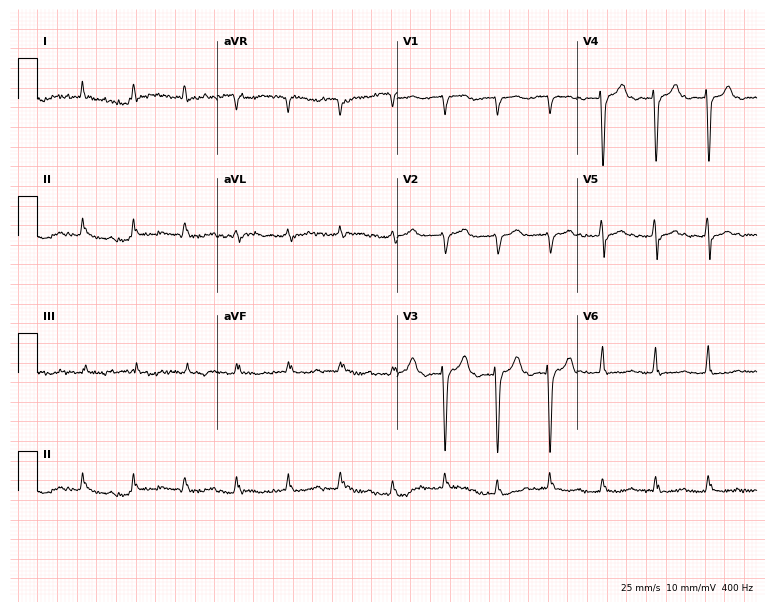
ECG — an 84-year-old male. Findings include atrial fibrillation, sinus tachycardia (a sinus rate of 100 beats per minute or more).